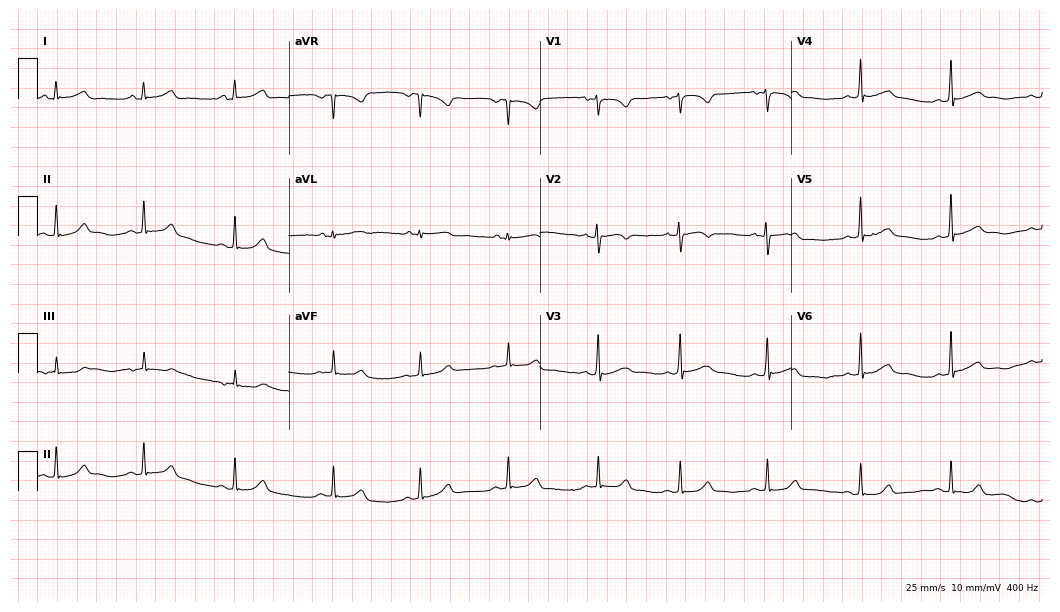
Resting 12-lead electrocardiogram (10.2-second recording at 400 Hz). Patient: a woman, 19 years old. Read as a normal ECG.